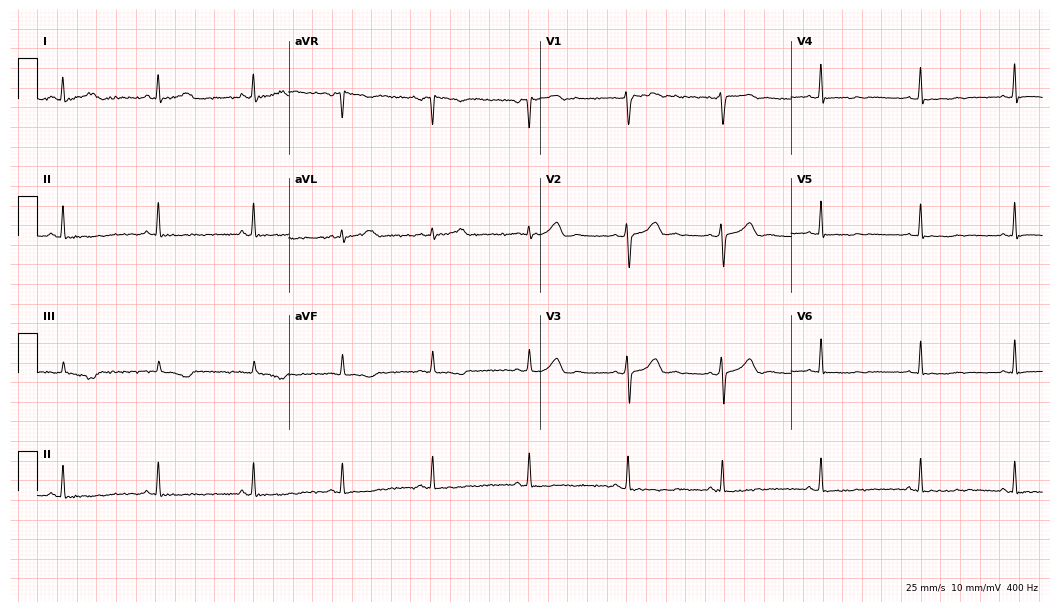
Standard 12-lead ECG recorded from a 33-year-old female (10.2-second recording at 400 Hz). None of these six findings is recorded: first-degree AV block, right bundle branch block (RBBB), left bundle branch block (LBBB), sinus bradycardia, atrial fibrillation (AF), sinus tachycardia.